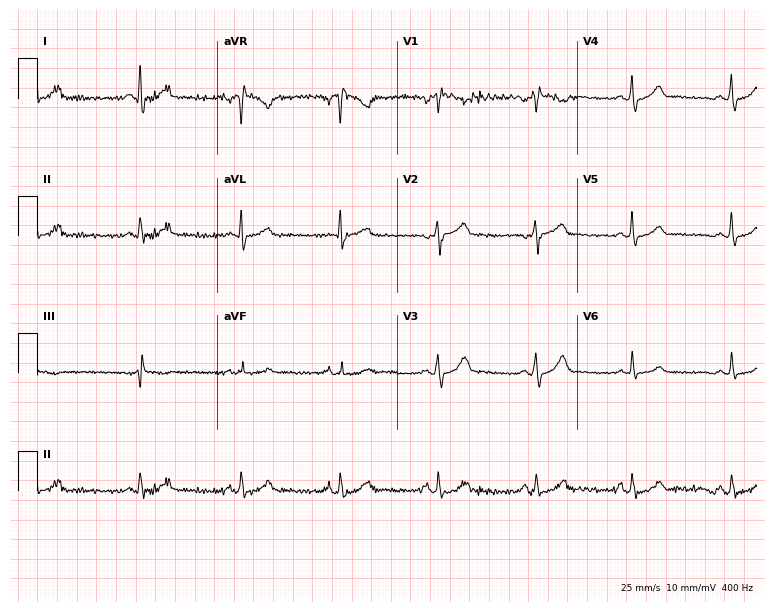
12-lead ECG (7.3-second recording at 400 Hz) from a 32-year-old male patient. Screened for six findings — first-degree AV block, right bundle branch block (RBBB), left bundle branch block (LBBB), sinus bradycardia, atrial fibrillation (AF), sinus tachycardia — none is recorded. Only these six findings were labelled.